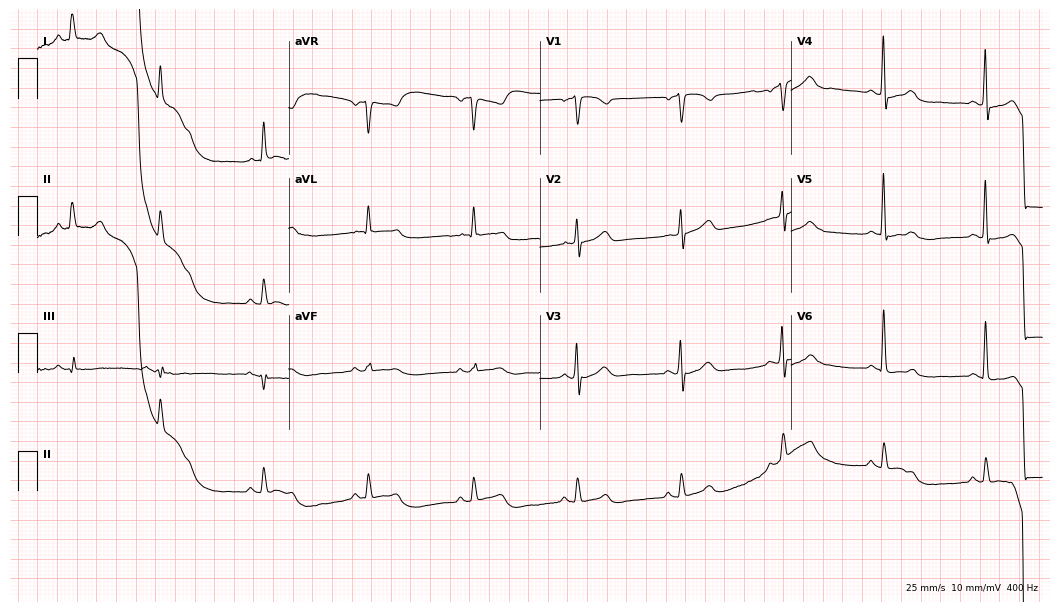
Electrocardiogram, a 75-year-old male. Of the six screened findings (first-degree AV block, right bundle branch block (RBBB), left bundle branch block (LBBB), sinus bradycardia, atrial fibrillation (AF), sinus tachycardia), none is recorded. Only these six findings were labelled.